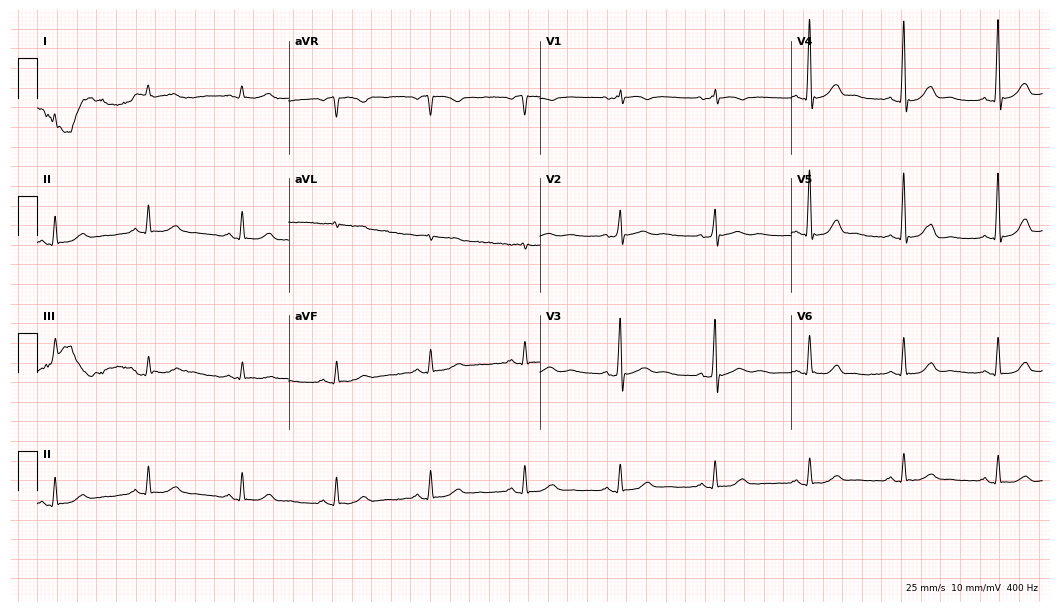
12-lead ECG from a 75-year-old male patient (10.2-second recording at 400 Hz). No first-degree AV block, right bundle branch block, left bundle branch block, sinus bradycardia, atrial fibrillation or sinus tachycardia recorded for this tracing.